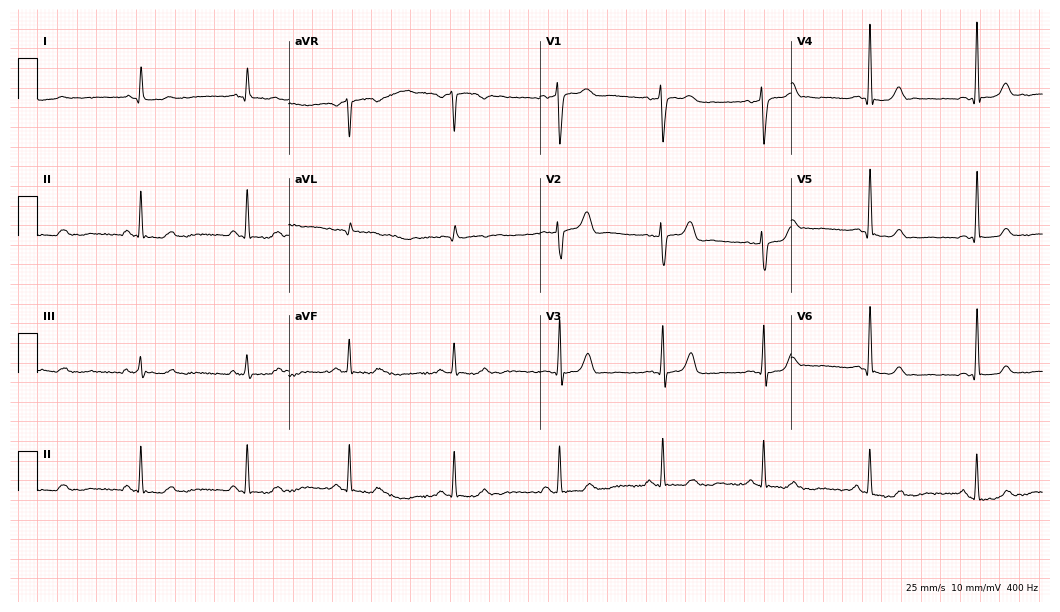
Standard 12-lead ECG recorded from a female, 65 years old (10.2-second recording at 400 Hz). None of these six findings is recorded: first-degree AV block, right bundle branch block, left bundle branch block, sinus bradycardia, atrial fibrillation, sinus tachycardia. Findings outside these six are not listed.